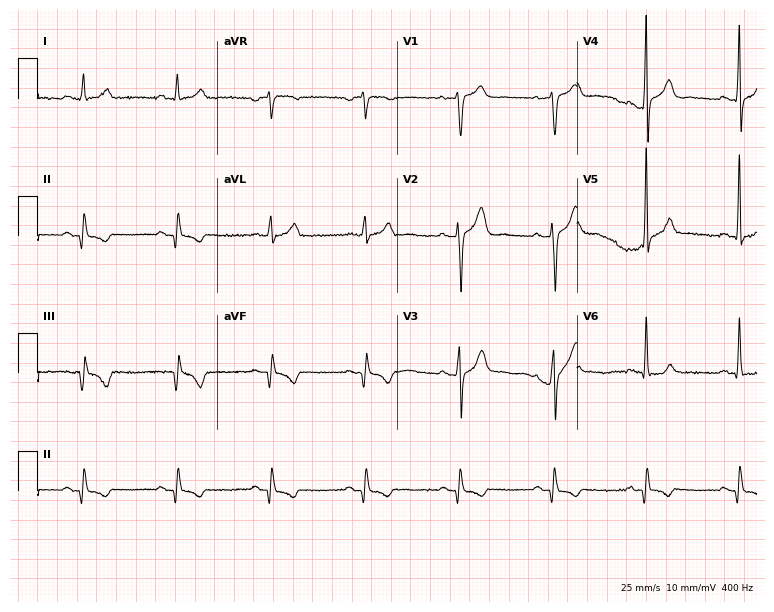
Resting 12-lead electrocardiogram (7.3-second recording at 400 Hz). Patient: a male, 53 years old. Read as a normal ECG.